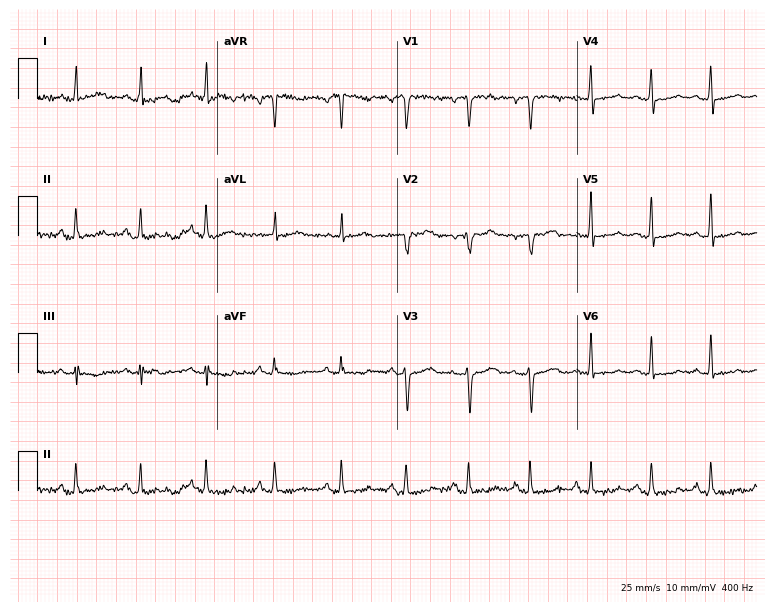
12-lead ECG from a woman, 43 years old (7.3-second recording at 400 Hz). No first-degree AV block, right bundle branch block, left bundle branch block, sinus bradycardia, atrial fibrillation or sinus tachycardia recorded for this tracing. Findings outside these six are not listed.